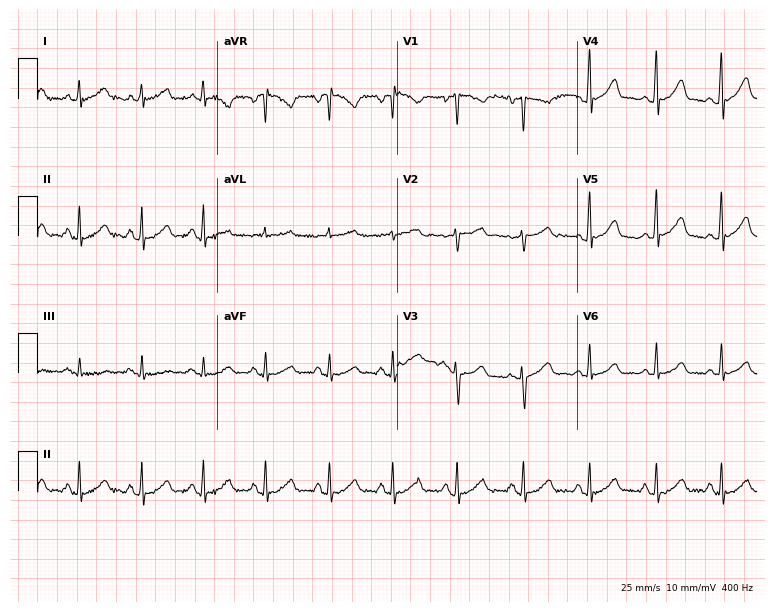
Resting 12-lead electrocardiogram. Patient: a 45-year-old female. None of these six findings is recorded: first-degree AV block, right bundle branch block, left bundle branch block, sinus bradycardia, atrial fibrillation, sinus tachycardia.